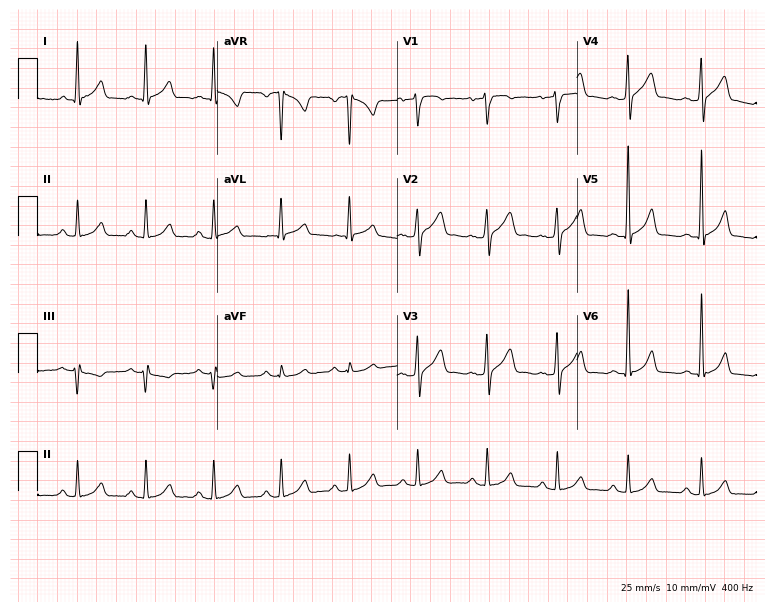
ECG (7.3-second recording at 400 Hz) — a male patient, 50 years old. Screened for six findings — first-degree AV block, right bundle branch block (RBBB), left bundle branch block (LBBB), sinus bradycardia, atrial fibrillation (AF), sinus tachycardia — none is recorded.